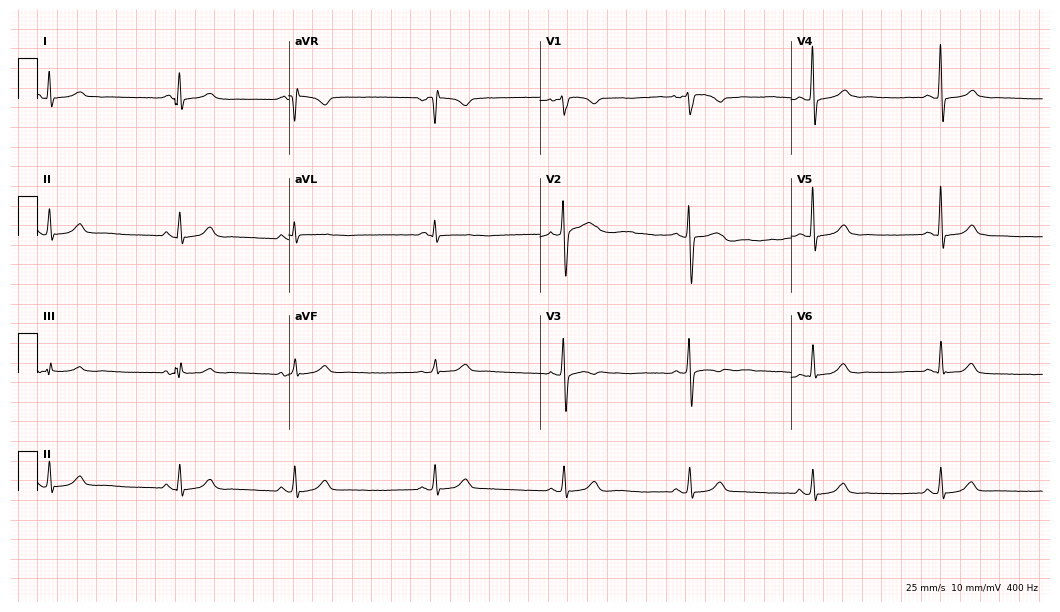
Resting 12-lead electrocardiogram. Patient: a 30-year-old female. The tracing shows sinus bradycardia (a sinus rate of 50 beats per minute or less).